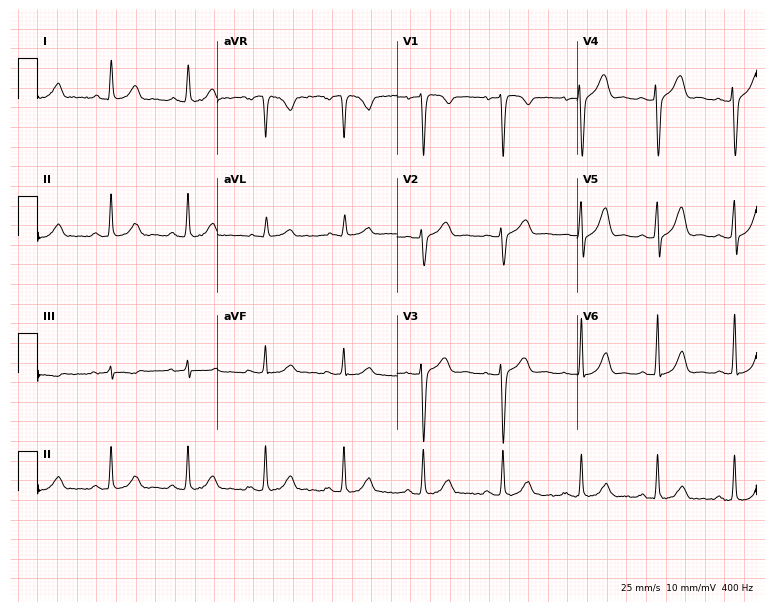
Standard 12-lead ECG recorded from a 51-year-old female patient. None of these six findings is recorded: first-degree AV block, right bundle branch block, left bundle branch block, sinus bradycardia, atrial fibrillation, sinus tachycardia. Findings outside these six are not listed.